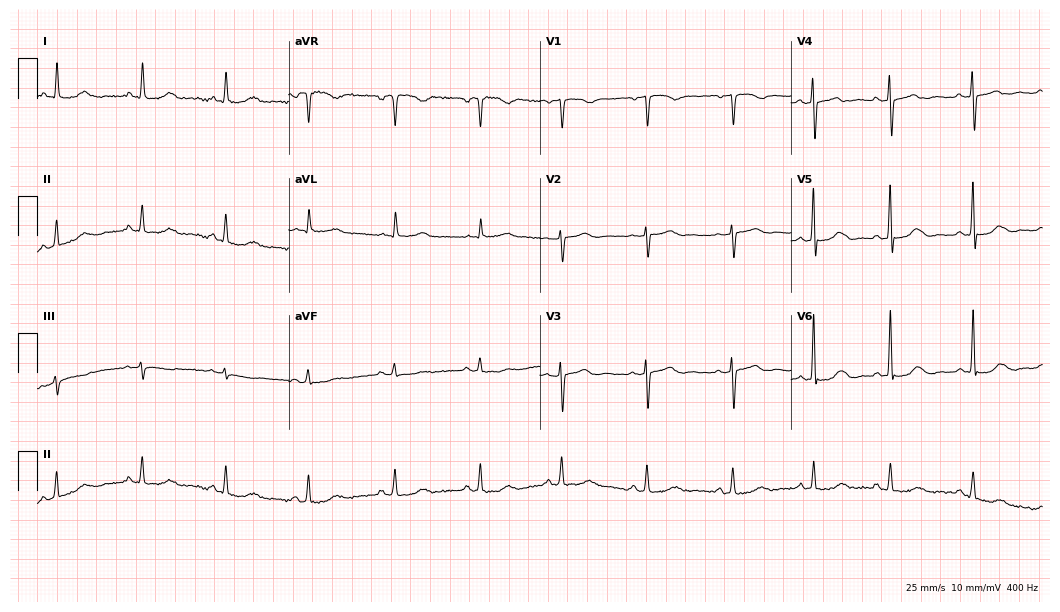
Standard 12-lead ECG recorded from a female patient, 79 years old. Read as a normal ECG.